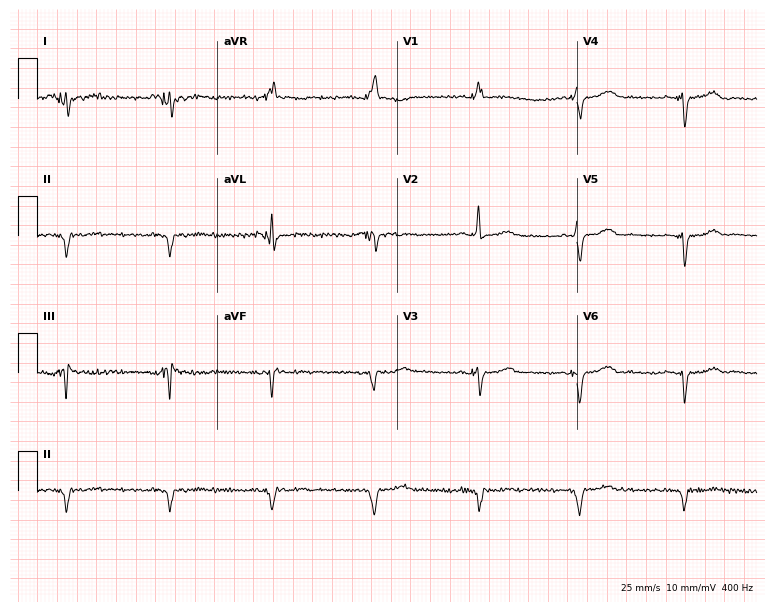
12-lead ECG from a 74-year-old male patient (7.3-second recording at 400 Hz). No first-degree AV block, right bundle branch block, left bundle branch block, sinus bradycardia, atrial fibrillation or sinus tachycardia recorded for this tracing. Findings outside these six are not listed.